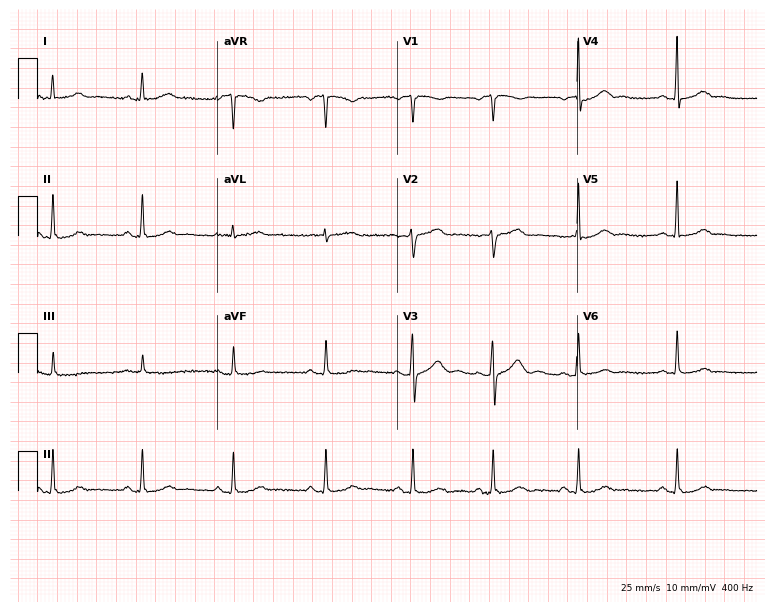
12-lead ECG from a 57-year-old female. Recorded interpretation: within normal limits.